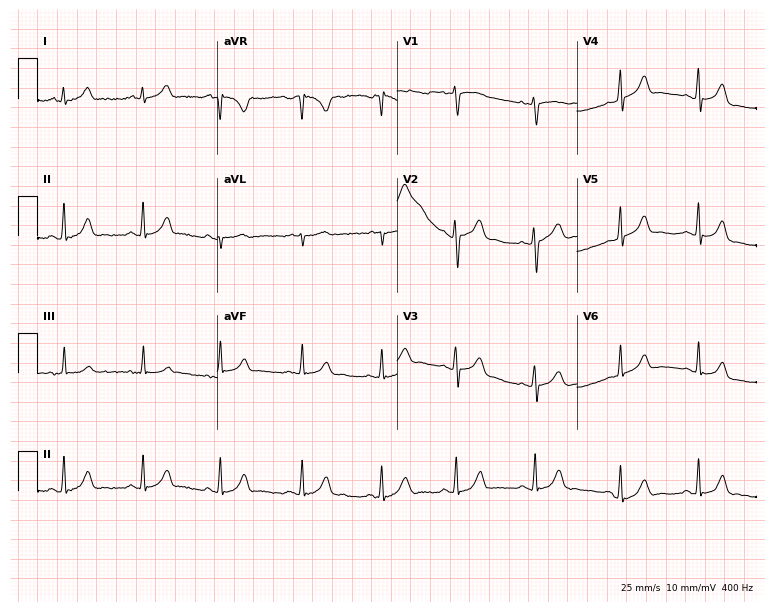
ECG (7.3-second recording at 400 Hz) — a female patient, 18 years old. Screened for six findings — first-degree AV block, right bundle branch block (RBBB), left bundle branch block (LBBB), sinus bradycardia, atrial fibrillation (AF), sinus tachycardia — none is recorded.